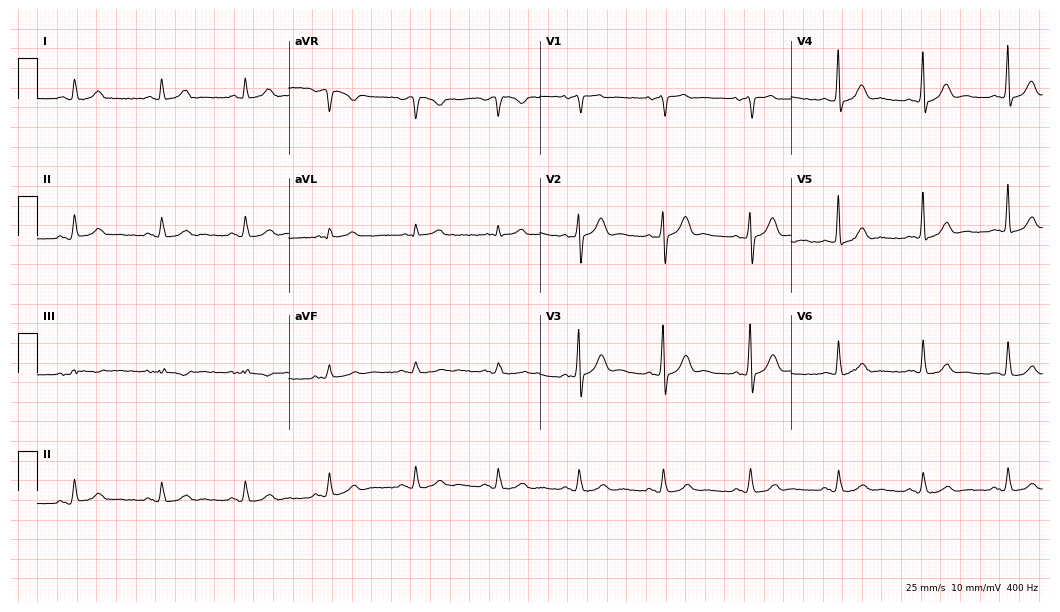
ECG (10.2-second recording at 400 Hz) — a 51-year-old male patient. Screened for six findings — first-degree AV block, right bundle branch block, left bundle branch block, sinus bradycardia, atrial fibrillation, sinus tachycardia — none is recorded.